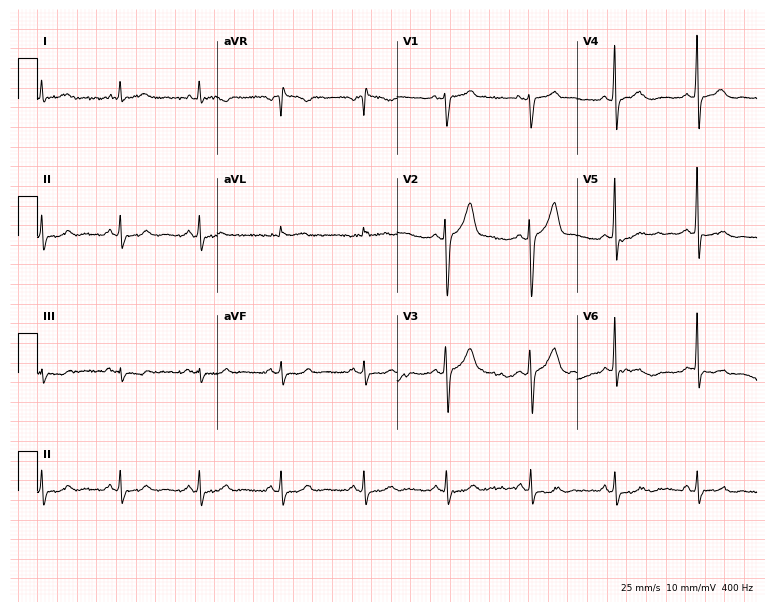
ECG — a male, 53 years old. Labelled as a normal ECG.